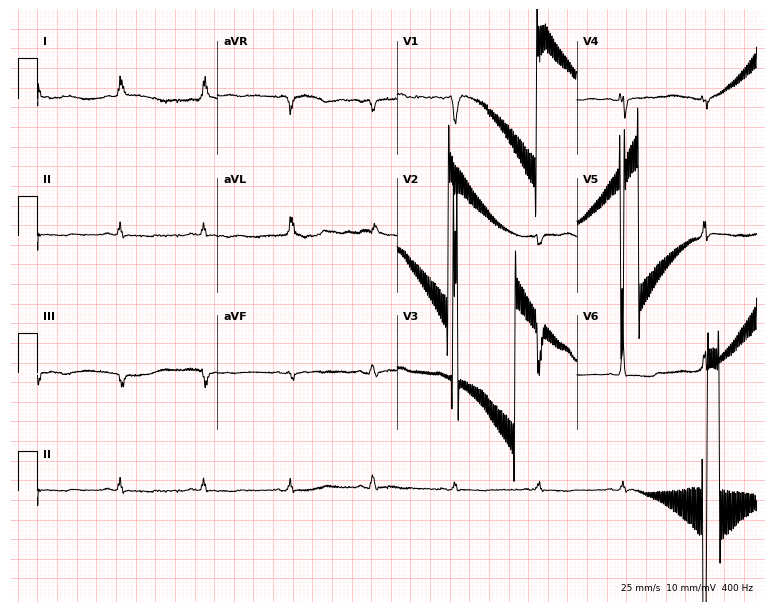
12-lead ECG from a woman, 77 years old (7.3-second recording at 400 Hz). No first-degree AV block, right bundle branch block, left bundle branch block, sinus bradycardia, atrial fibrillation or sinus tachycardia recorded for this tracing.